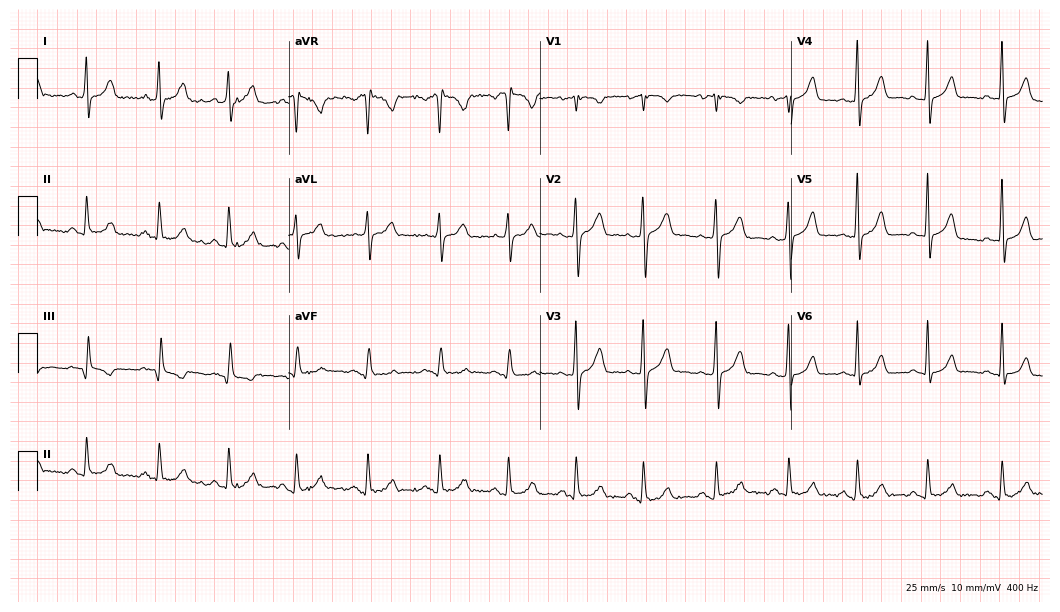
12-lead ECG from a 46-year-old woman. Recorded interpretation: within normal limits.